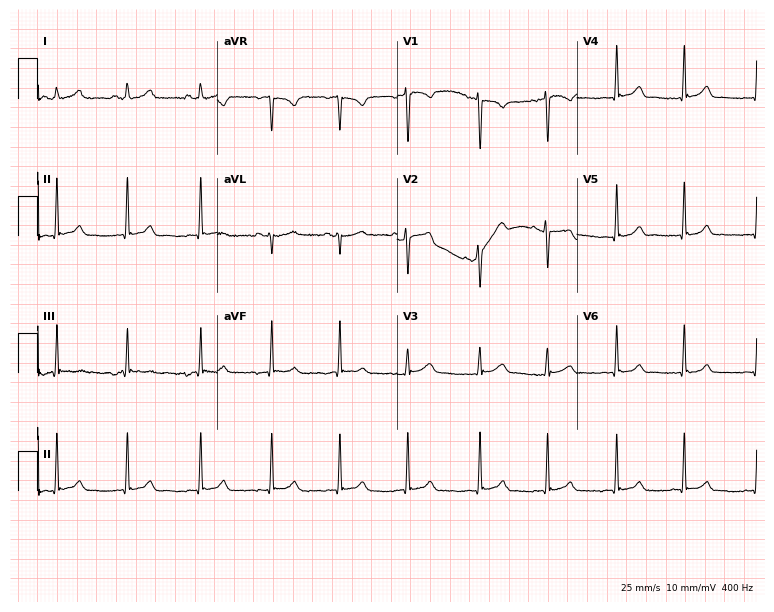
Resting 12-lead electrocardiogram (7.3-second recording at 400 Hz). Patient: a female, 23 years old. None of these six findings is recorded: first-degree AV block, right bundle branch block, left bundle branch block, sinus bradycardia, atrial fibrillation, sinus tachycardia.